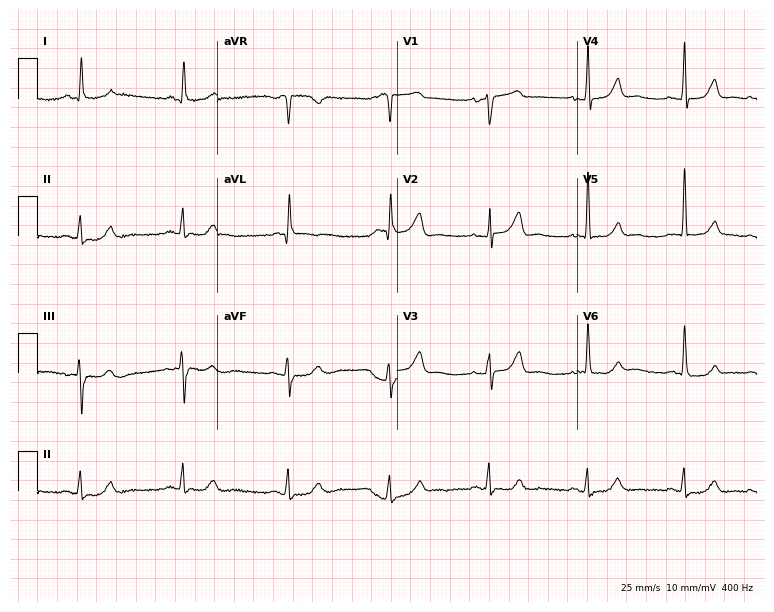
Standard 12-lead ECG recorded from a 69-year-old female patient (7.3-second recording at 400 Hz). Read as a normal ECG.